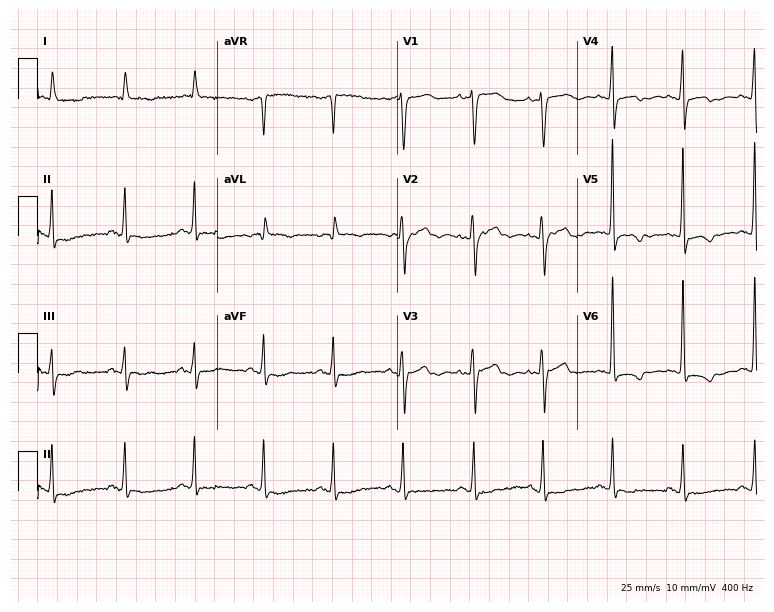
Resting 12-lead electrocardiogram. Patient: a woman, 76 years old. None of these six findings is recorded: first-degree AV block, right bundle branch block, left bundle branch block, sinus bradycardia, atrial fibrillation, sinus tachycardia.